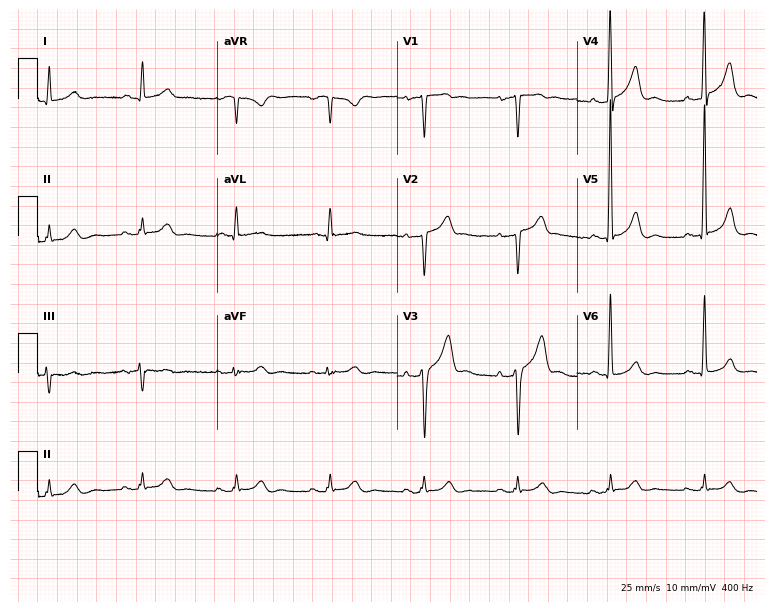
Standard 12-lead ECG recorded from a 61-year-old man (7.3-second recording at 400 Hz). None of these six findings is recorded: first-degree AV block, right bundle branch block, left bundle branch block, sinus bradycardia, atrial fibrillation, sinus tachycardia. Findings outside these six are not listed.